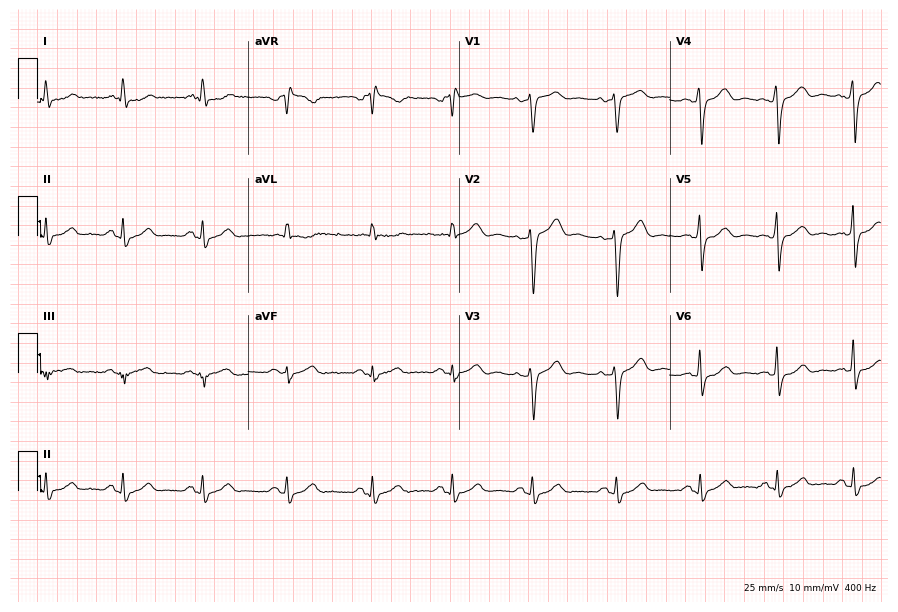
Resting 12-lead electrocardiogram. Patient: a male, 42 years old. None of these six findings is recorded: first-degree AV block, right bundle branch block, left bundle branch block, sinus bradycardia, atrial fibrillation, sinus tachycardia.